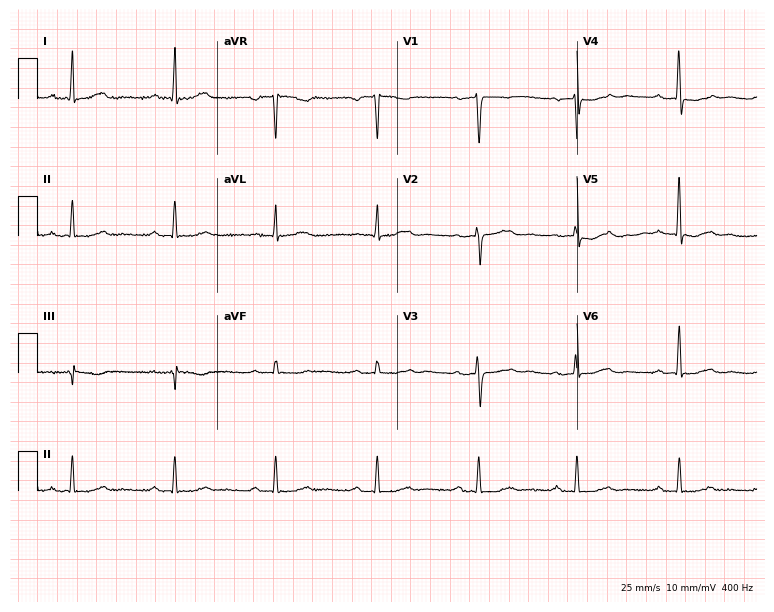
12-lead ECG from a female patient, 57 years old. Screened for six findings — first-degree AV block, right bundle branch block (RBBB), left bundle branch block (LBBB), sinus bradycardia, atrial fibrillation (AF), sinus tachycardia — none is recorded.